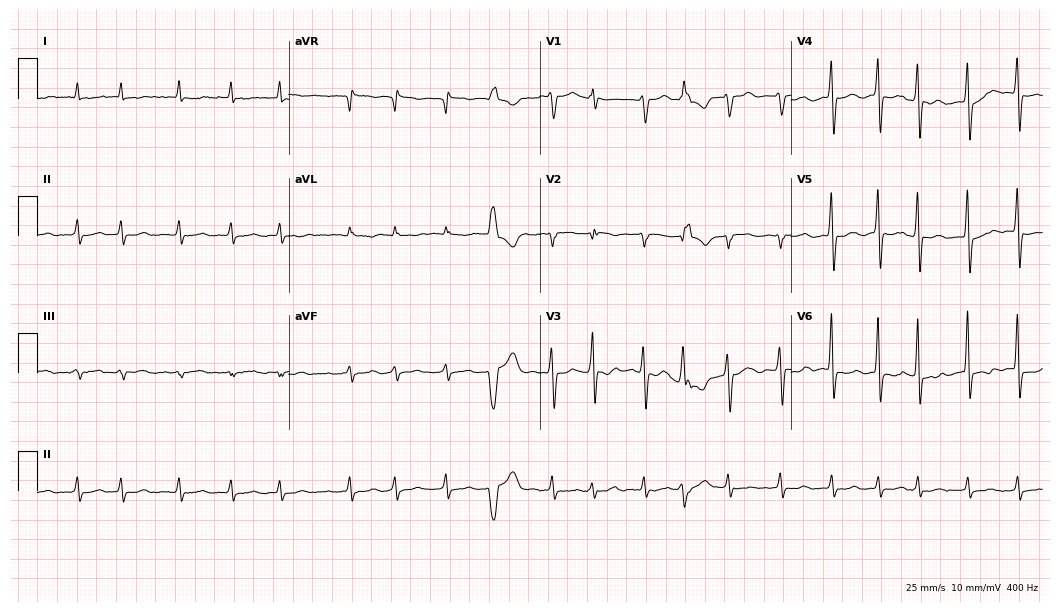
Electrocardiogram (10.2-second recording at 400 Hz), a 77-year-old male patient. Interpretation includes atrial fibrillation (AF).